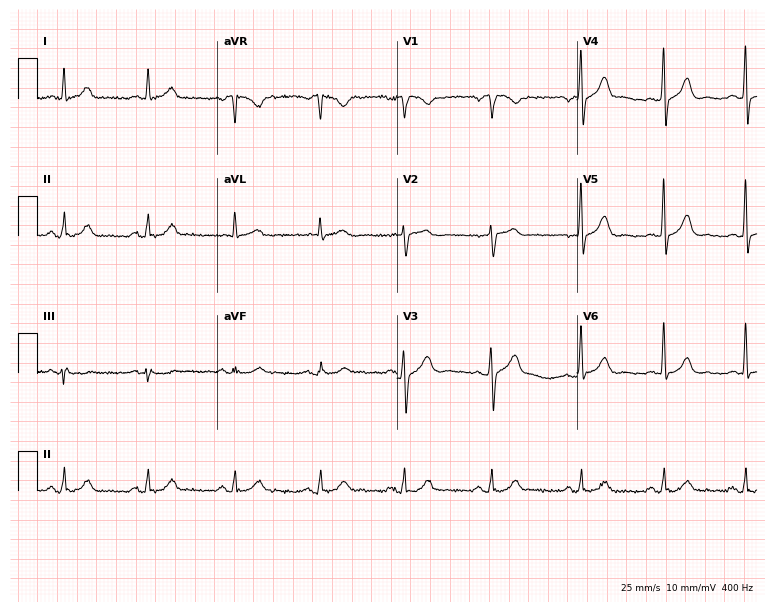
12-lead ECG from a 61-year-old male. No first-degree AV block, right bundle branch block, left bundle branch block, sinus bradycardia, atrial fibrillation or sinus tachycardia recorded for this tracing.